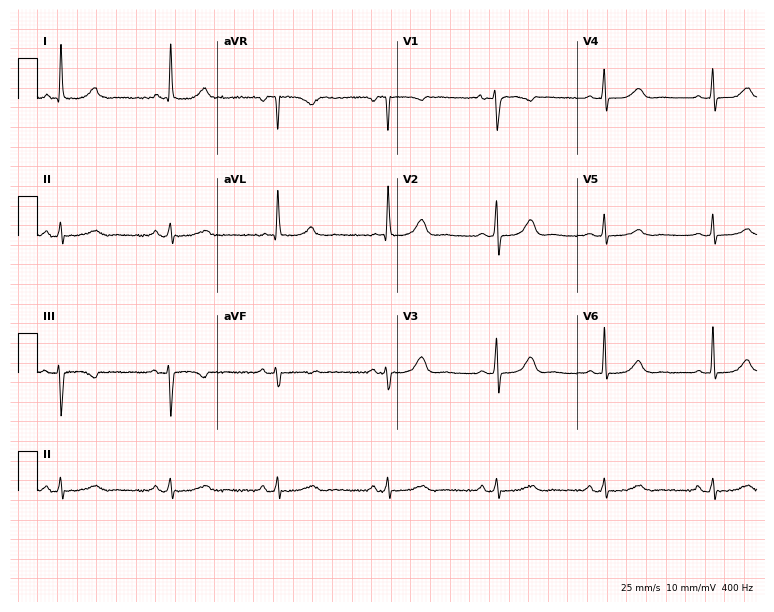
12-lead ECG from a 75-year-old female patient. Screened for six findings — first-degree AV block, right bundle branch block, left bundle branch block, sinus bradycardia, atrial fibrillation, sinus tachycardia — none is recorded. Other findings, if any, are not listed.